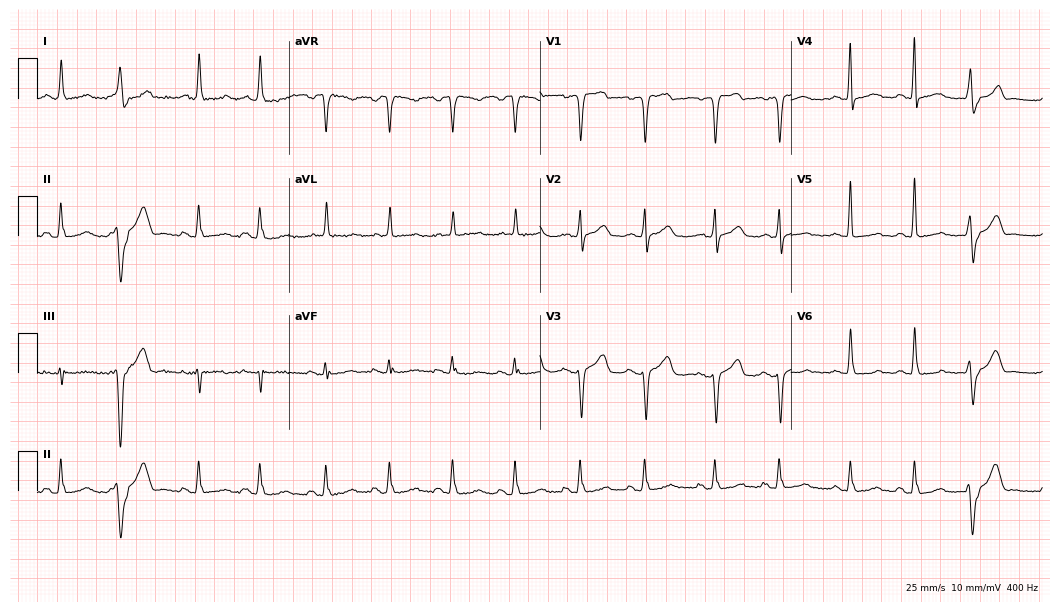
12-lead ECG from a 52-year-old female patient. No first-degree AV block, right bundle branch block, left bundle branch block, sinus bradycardia, atrial fibrillation or sinus tachycardia recorded for this tracing.